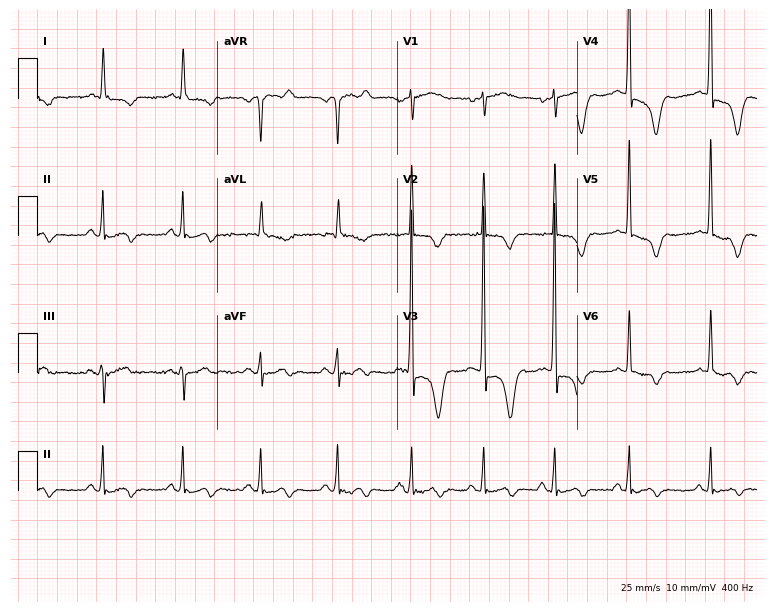
Resting 12-lead electrocardiogram (7.3-second recording at 400 Hz). Patient: a 78-year-old man. None of these six findings is recorded: first-degree AV block, right bundle branch block, left bundle branch block, sinus bradycardia, atrial fibrillation, sinus tachycardia. Other findings, if any, are not listed.